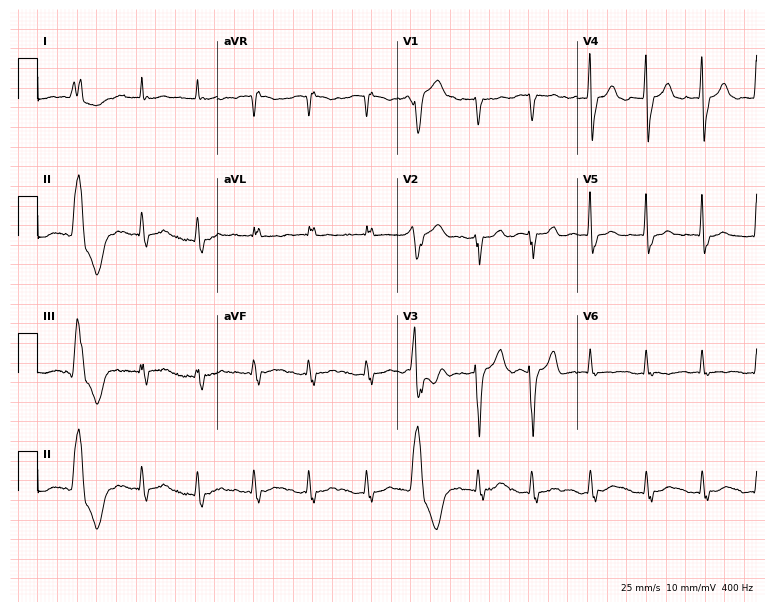
ECG (7.3-second recording at 400 Hz) — a 74-year-old woman. Findings include first-degree AV block, sinus tachycardia (a sinus rate of 100 beats per minute or more).